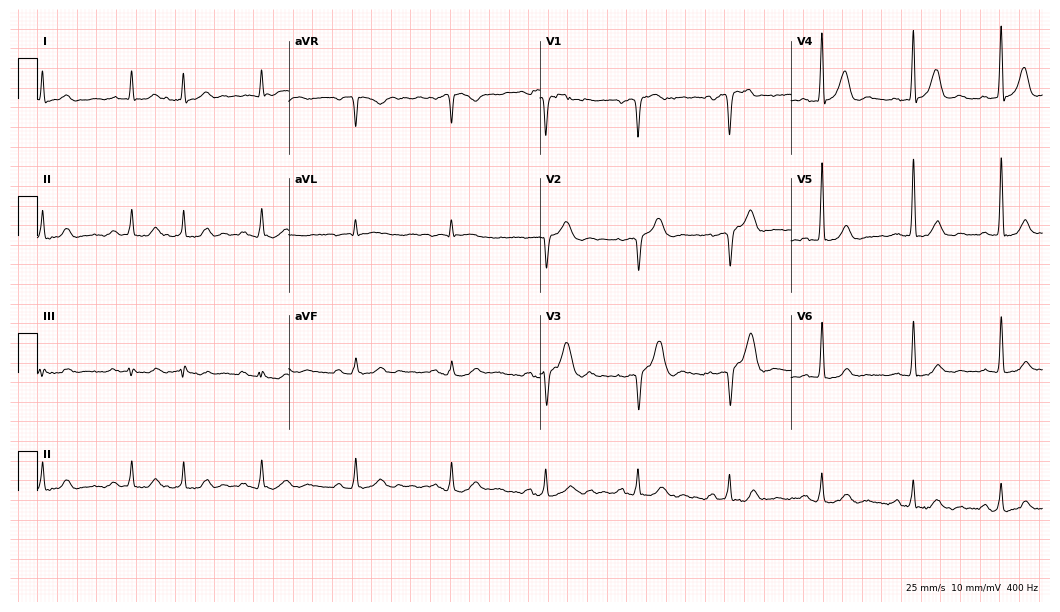
Resting 12-lead electrocardiogram. Patient: a male, 76 years old. None of these six findings is recorded: first-degree AV block, right bundle branch block (RBBB), left bundle branch block (LBBB), sinus bradycardia, atrial fibrillation (AF), sinus tachycardia. Findings outside these six are not listed.